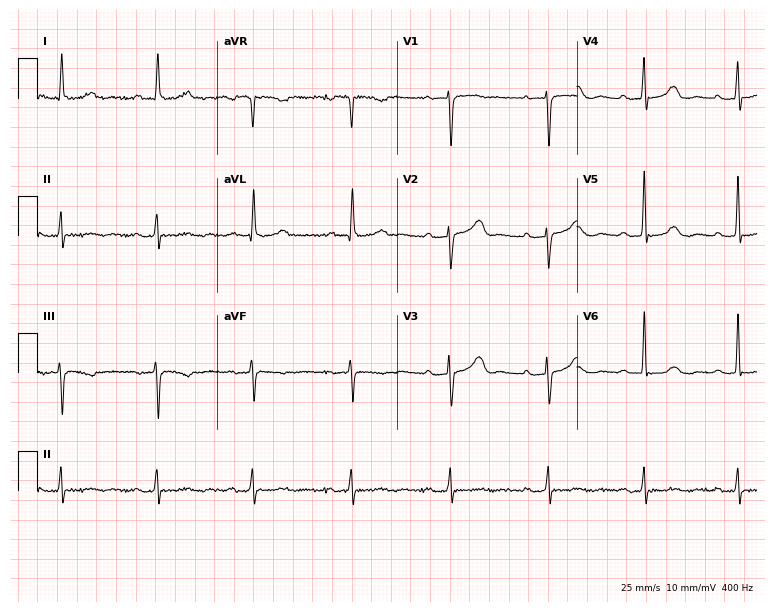
12-lead ECG from a female patient, 73 years old (7.3-second recording at 400 Hz). Recorded interpretation: within normal limits.